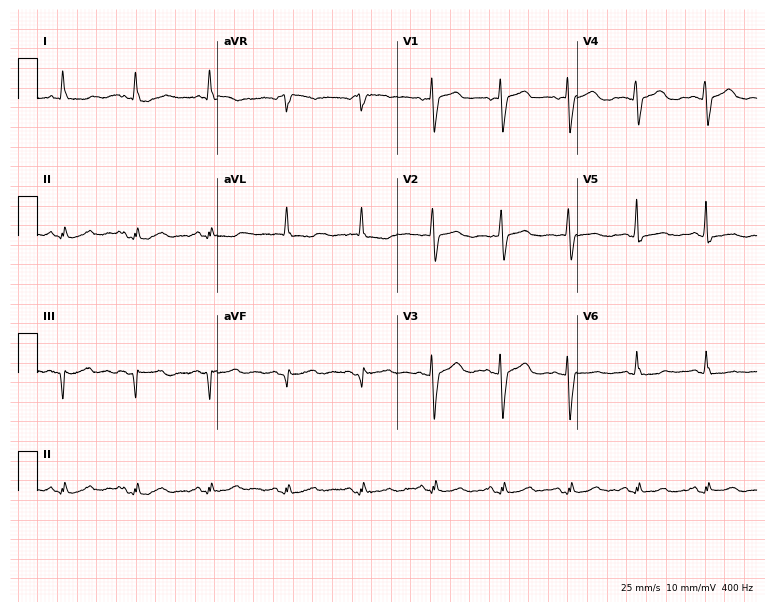
12-lead ECG from a female patient, 76 years old. Screened for six findings — first-degree AV block, right bundle branch block, left bundle branch block, sinus bradycardia, atrial fibrillation, sinus tachycardia — none is recorded. Findings outside these six are not listed.